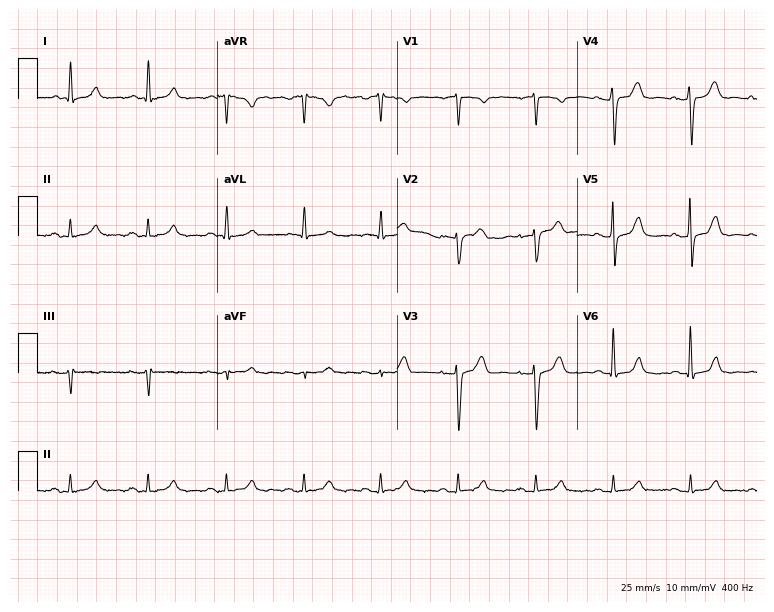
ECG — a 67-year-old male patient. Screened for six findings — first-degree AV block, right bundle branch block, left bundle branch block, sinus bradycardia, atrial fibrillation, sinus tachycardia — none is recorded.